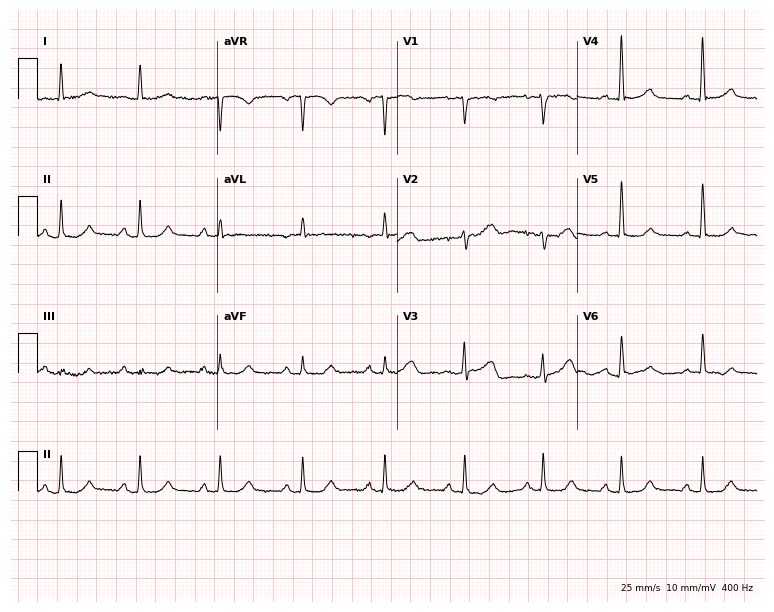
Resting 12-lead electrocardiogram (7.3-second recording at 400 Hz). Patient: a female, 75 years old. None of these six findings is recorded: first-degree AV block, right bundle branch block, left bundle branch block, sinus bradycardia, atrial fibrillation, sinus tachycardia. Other findings, if any, are not listed.